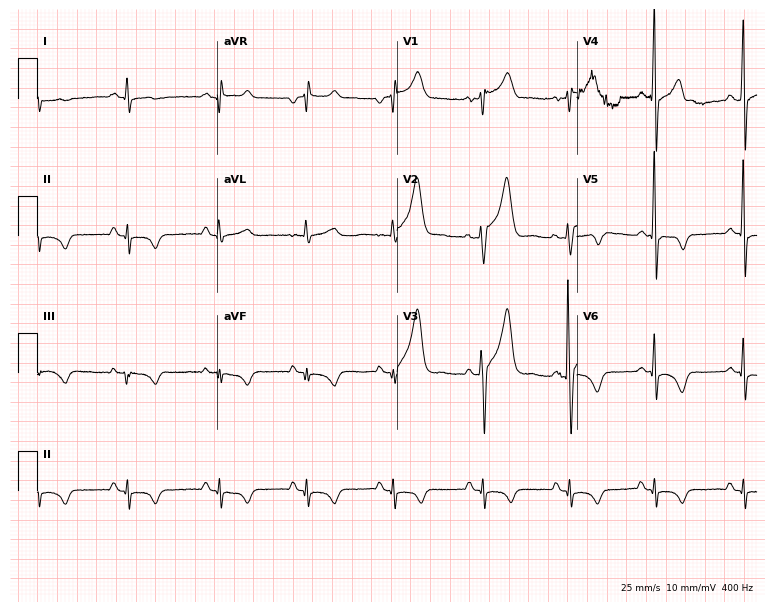
Electrocardiogram, a male, 53 years old. Of the six screened findings (first-degree AV block, right bundle branch block, left bundle branch block, sinus bradycardia, atrial fibrillation, sinus tachycardia), none is recorded. Findings outside these six are not listed.